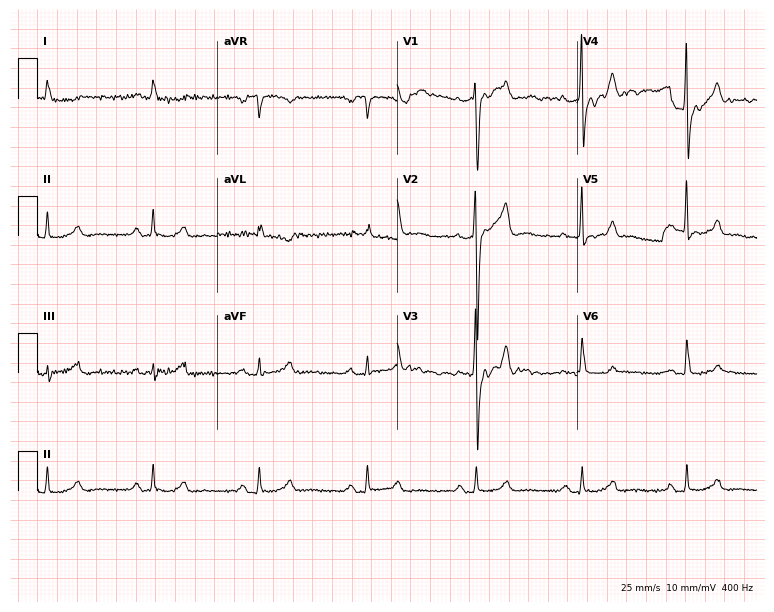
Standard 12-lead ECG recorded from a man, 61 years old (7.3-second recording at 400 Hz). None of these six findings is recorded: first-degree AV block, right bundle branch block, left bundle branch block, sinus bradycardia, atrial fibrillation, sinus tachycardia. Other findings, if any, are not listed.